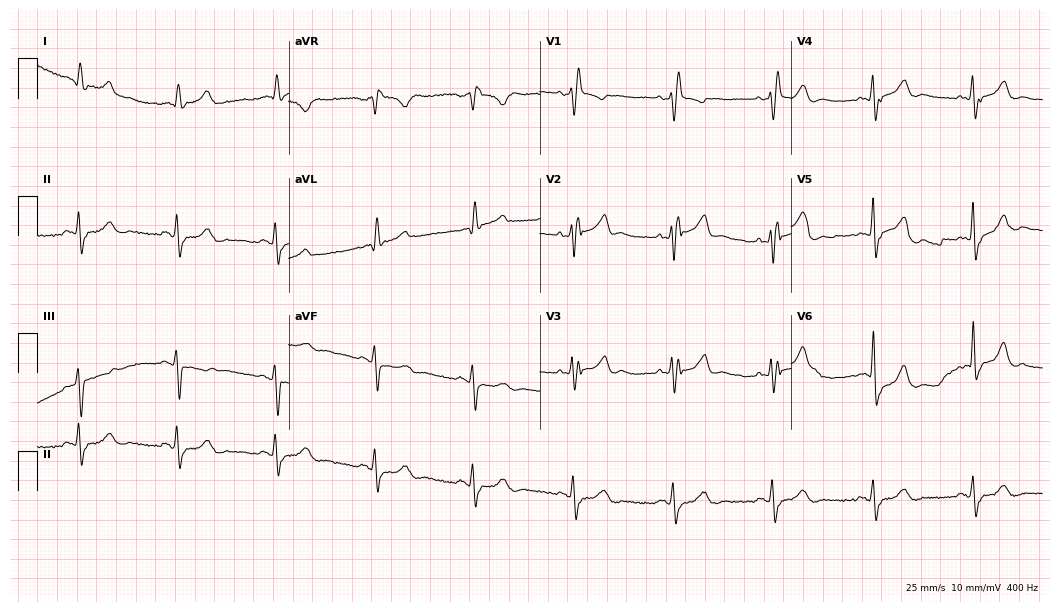
Resting 12-lead electrocardiogram. Patient: a man, 83 years old. The tracing shows right bundle branch block.